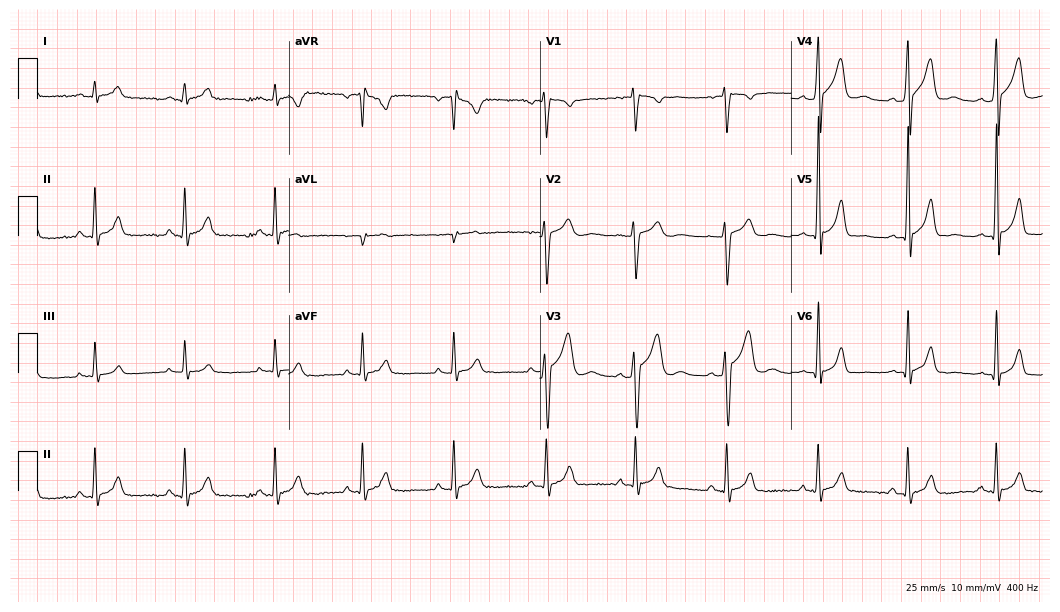
Standard 12-lead ECG recorded from an 18-year-old male patient (10.2-second recording at 400 Hz). Read as a normal ECG.